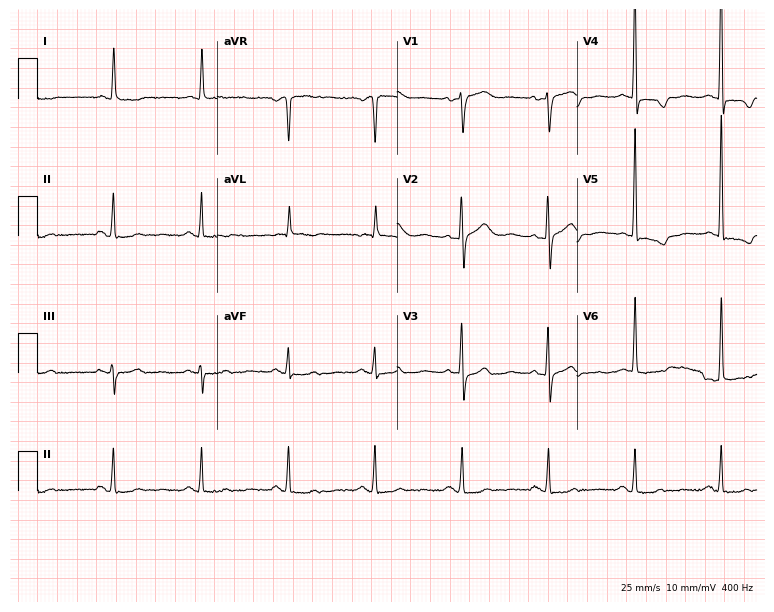
Electrocardiogram, a female, 83 years old. Of the six screened findings (first-degree AV block, right bundle branch block, left bundle branch block, sinus bradycardia, atrial fibrillation, sinus tachycardia), none is recorded. Only these six findings were labelled.